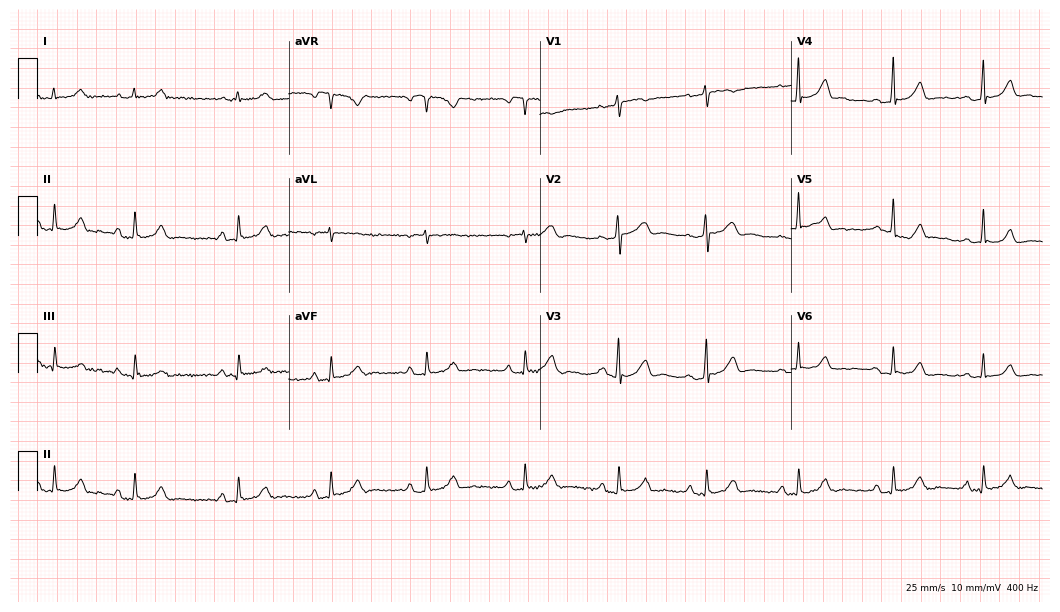
Electrocardiogram, a 31-year-old female. Overall reading on record: normal ECG.